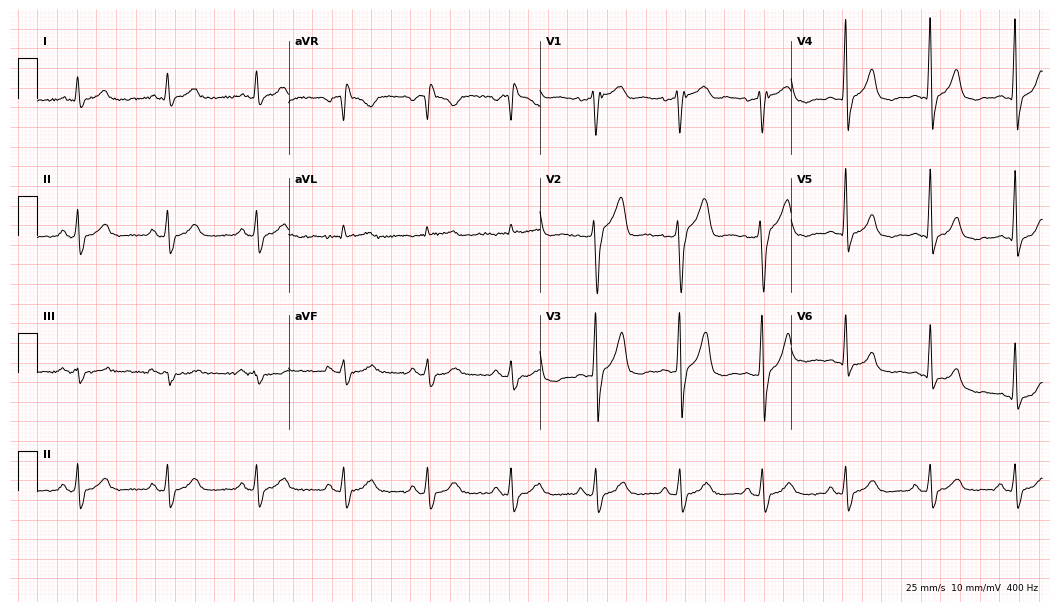
Resting 12-lead electrocardiogram (10.2-second recording at 400 Hz). Patient: a 67-year-old female. None of these six findings is recorded: first-degree AV block, right bundle branch block, left bundle branch block, sinus bradycardia, atrial fibrillation, sinus tachycardia.